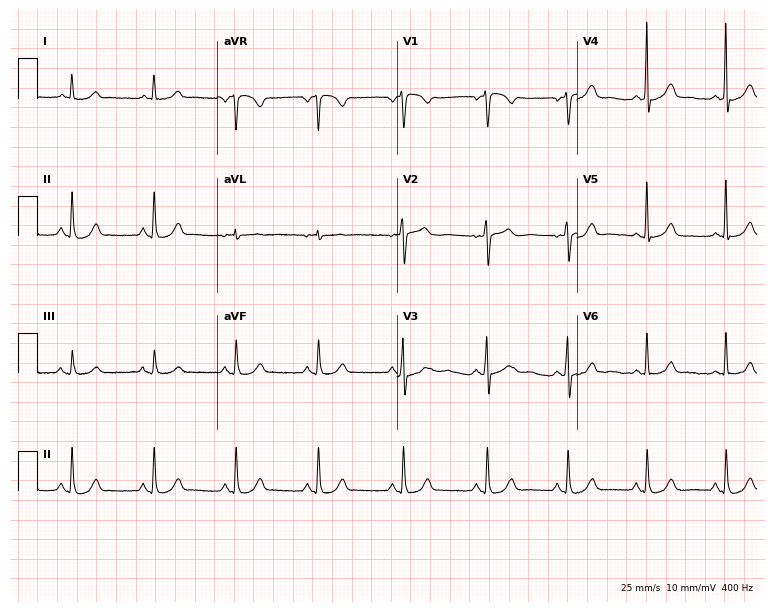
12-lead ECG from a female patient, 55 years old. Labelled as a normal ECG.